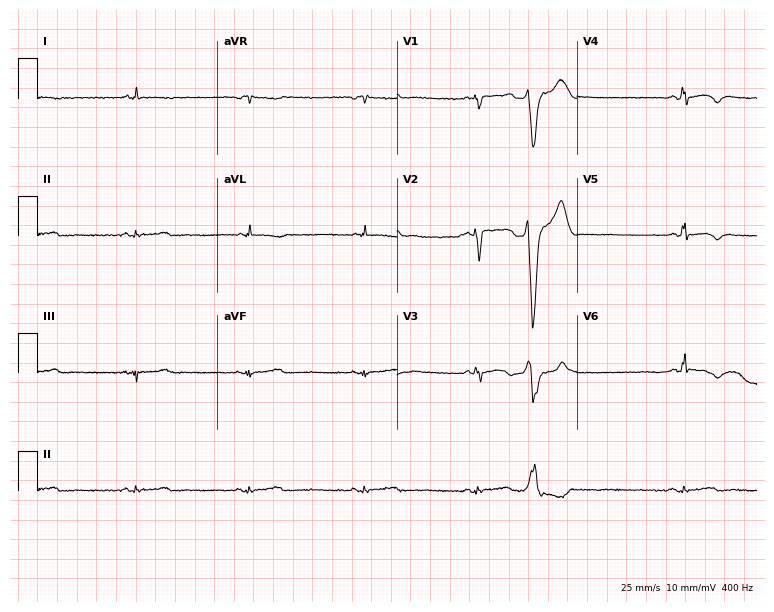
Standard 12-lead ECG recorded from a male, 41 years old (7.3-second recording at 400 Hz). None of these six findings is recorded: first-degree AV block, right bundle branch block, left bundle branch block, sinus bradycardia, atrial fibrillation, sinus tachycardia.